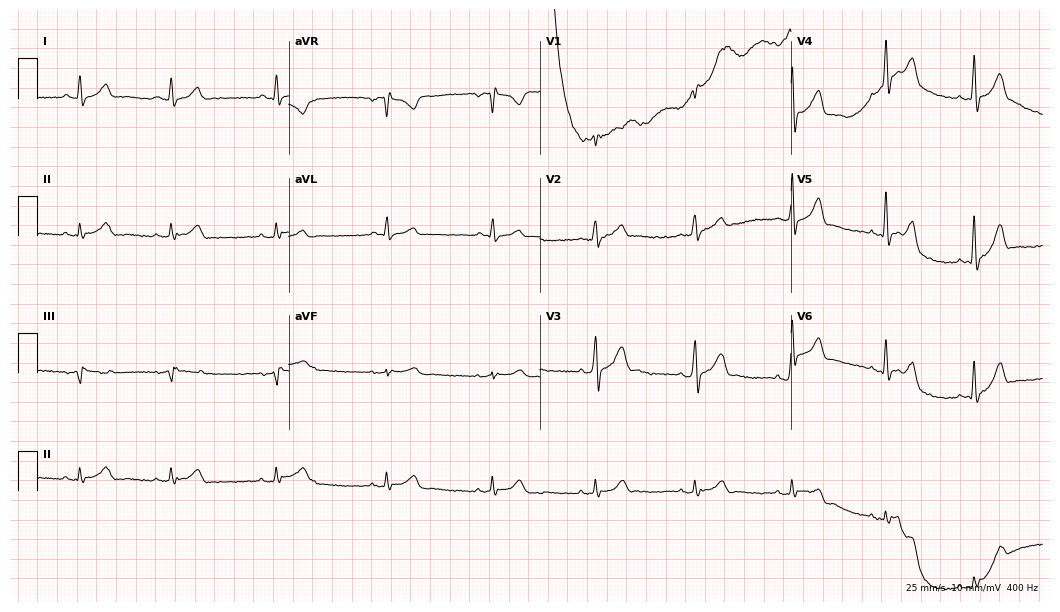
Resting 12-lead electrocardiogram. Patient: a 41-year-old man. None of these six findings is recorded: first-degree AV block, right bundle branch block (RBBB), left bundle branch block (LBBB), sinus bradycardia, atrial fibrillation (AF), sinus tachycardia. Other findings, if any, are not listed.